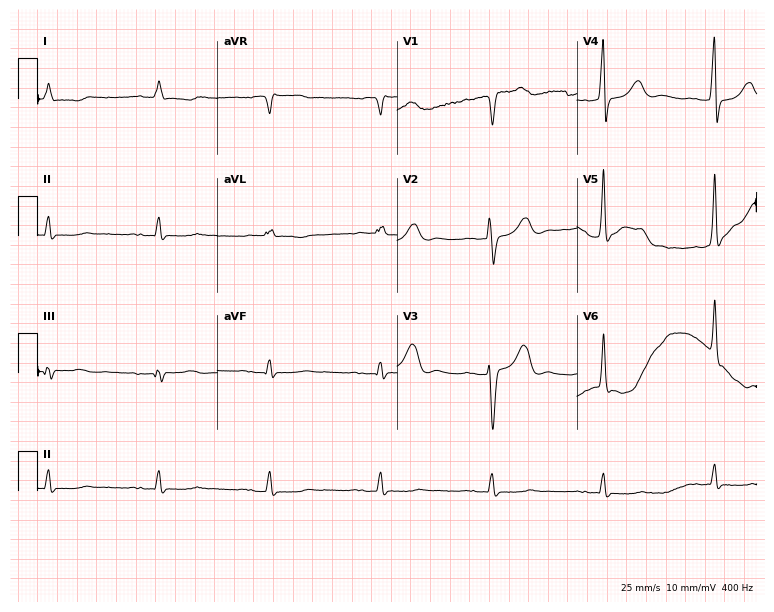
ECG — a man, 85 years old. Findings include left bundle branch block (LBBB).